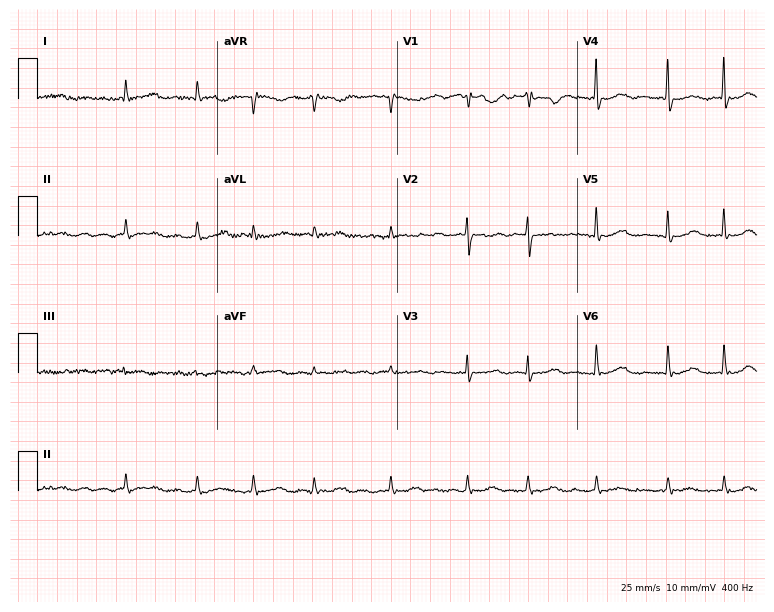
Standard 12-lead ECG recorded from a female patient, 75 years old. The tracing shows atrial fibrillation.